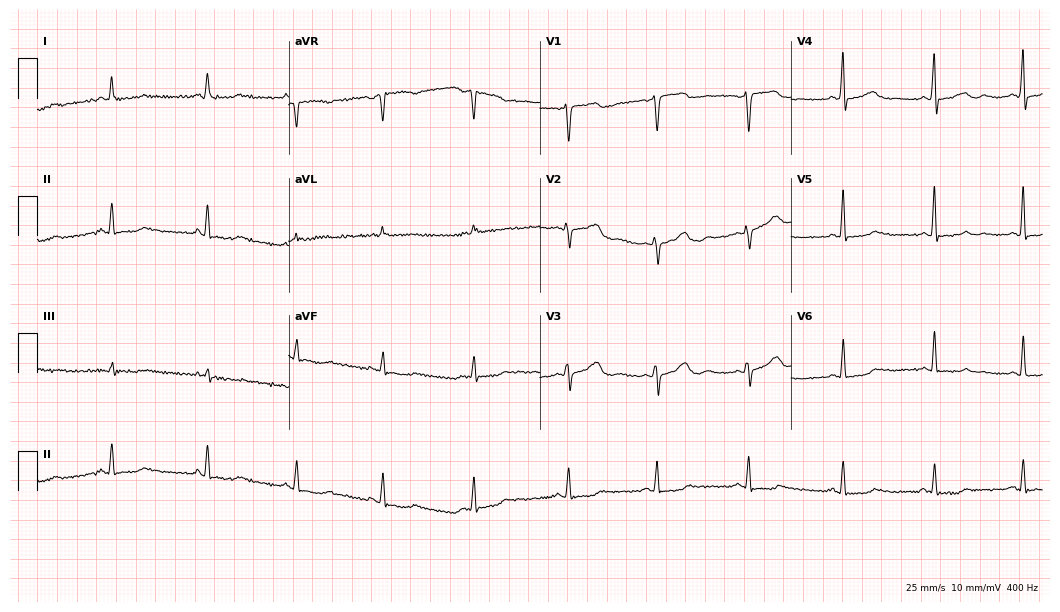
12-lead ECG from a 51-year-old woman. No first-degree AV block, right bundle branch block (RBBB), left bundle branch block (LBBB), sinus bradycardia, atrial fibrillation (AF) or sinus tachycardia recorded for this tracing. Other findings, if any, are not listed.